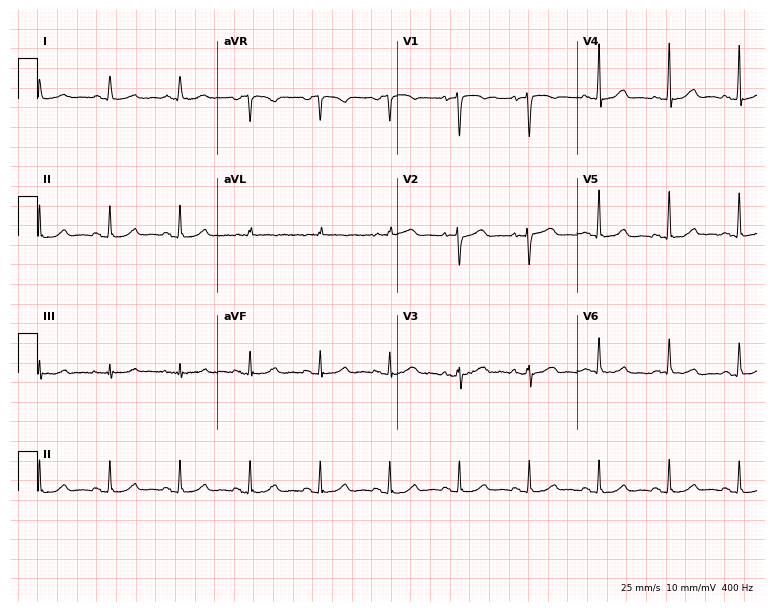
12-lead ECG from a 68-year-old female patient. Labelled as a normal ECG.